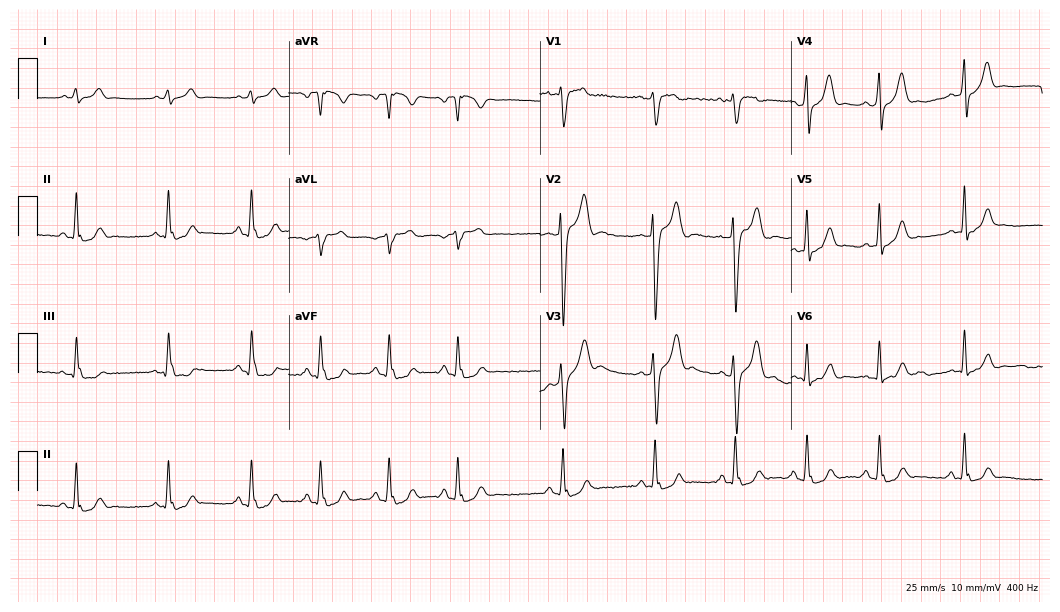
ECG (10.2-second recording at 400 Hz) — a 25-year-old man. Labelled as a normal ECG.